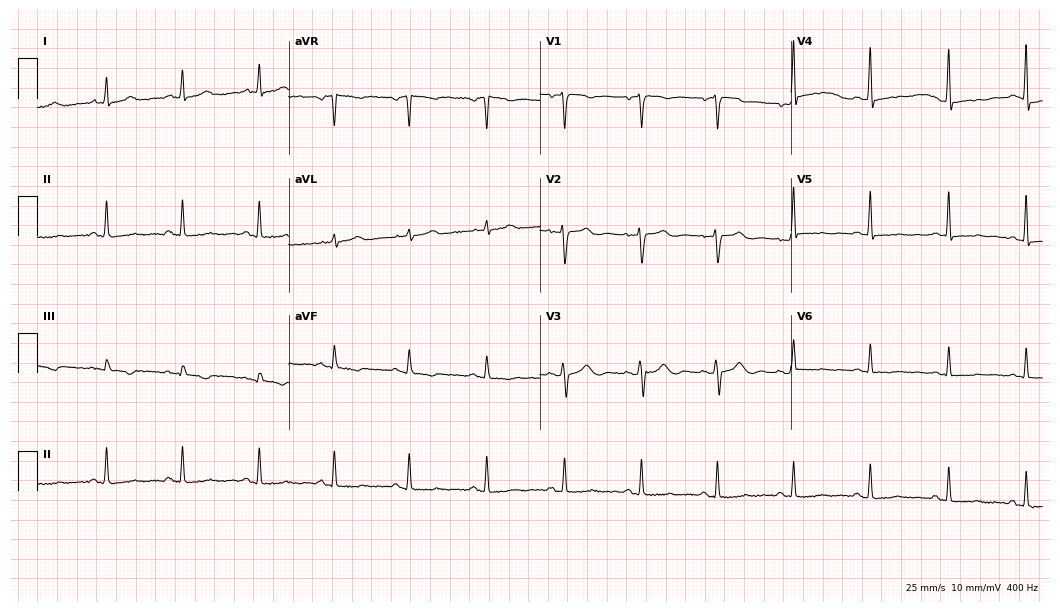
12-lead ECG from a woman, 53 years old. No first-degree AV block, right bundle branch block (RBBB), left bundle branch block (LBBB), sinus bradycardia, atrial fibrillation (AF) or sinus tachycardia recorded for this tracing.